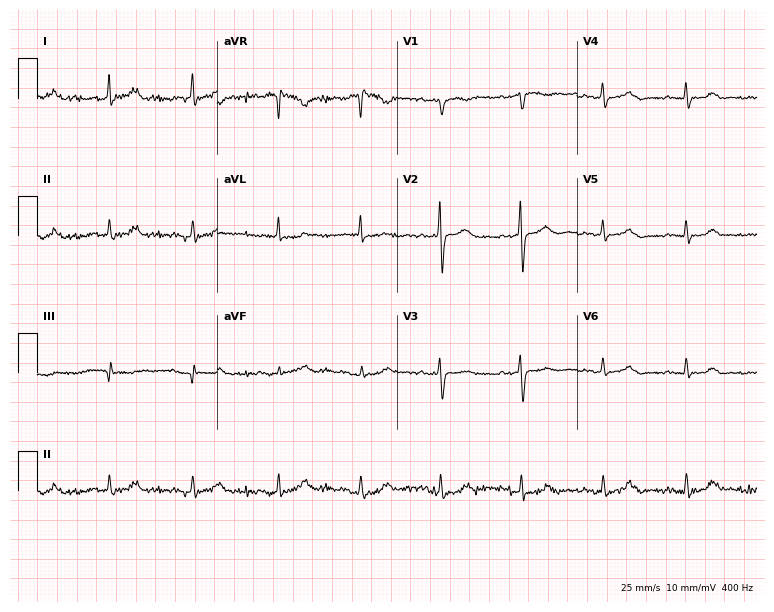
12-lead ECG from a 69-year-old woman (7.3-second recording at 400 Hz). Recorded interpretation: within normal limits.